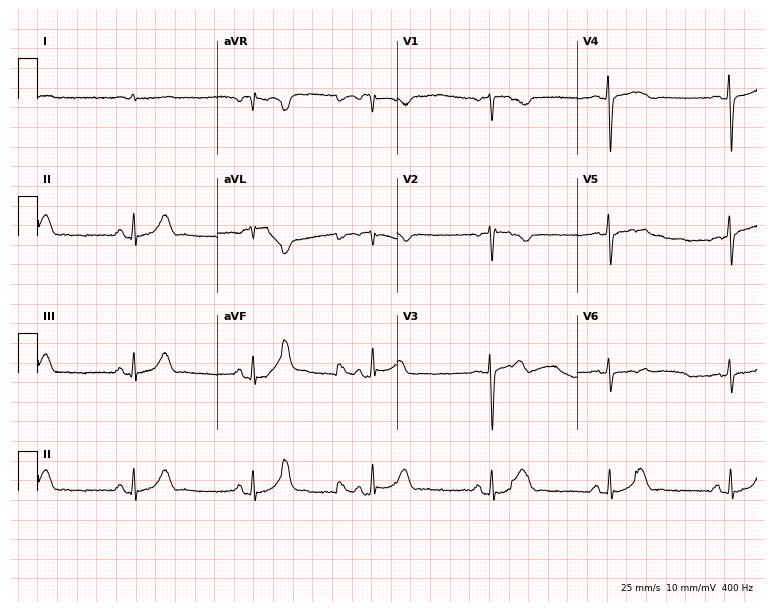
Resting 12-lead electrocardiogram (7.3-second recording at 400 Hz). Patient: a 61-year-old male. The tracing shows sinus bradycardia (a sinus rate of 50 beats per minute or less).